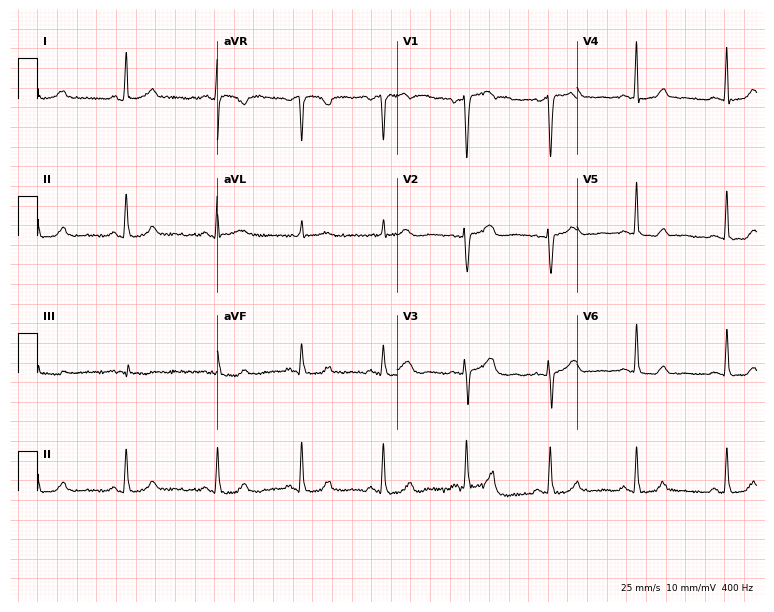
12-lead ECG from a 39-year-old female patient. No first-degree AV block, right bundle branch block (RBBB), left bundle branch block (LBBB), sinus bradycardia, atrial fibrillation (AF) or sinus tachycardia recorded for this tracing.